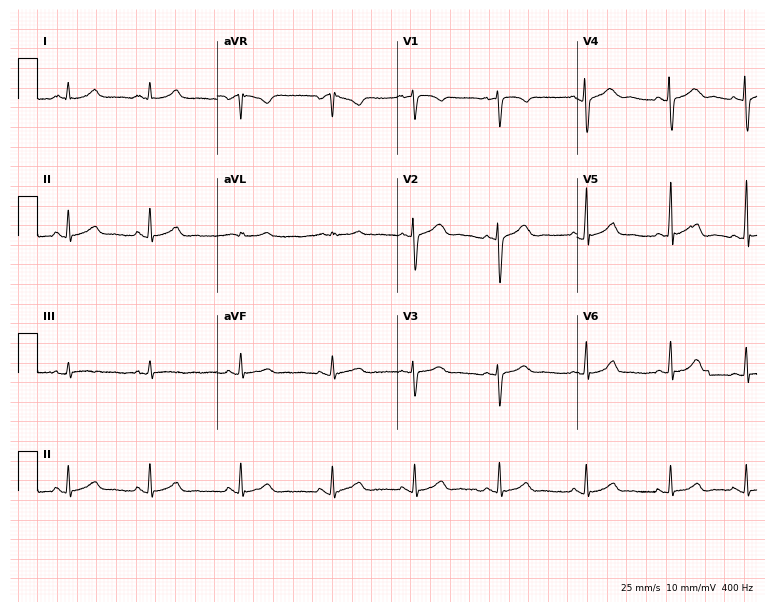
ECG — a female patient, 19 years old. Labelled as a normal ECG.